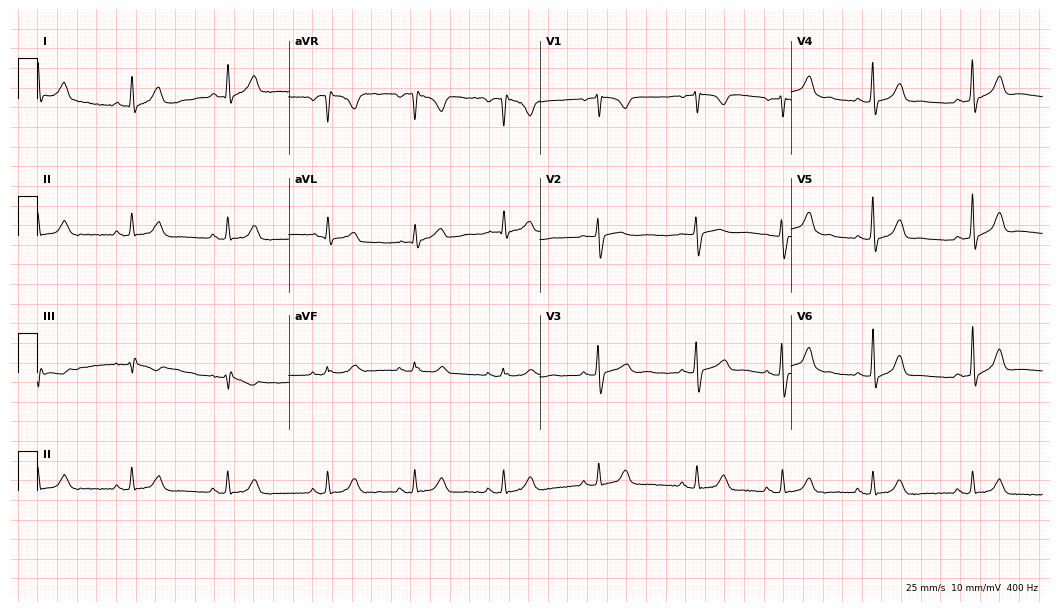
12-lead ECG from a 31-year-old female. Labelled as a normal ECG.